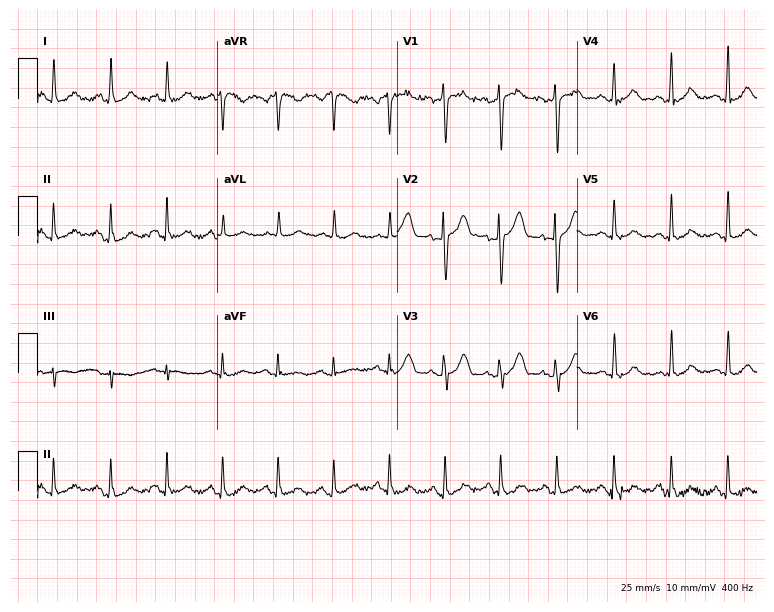
12-lead ECG (7.3-second recording at 400 Hz) from a female, 55 years old. Findings include sinus tachycardia (a sinus rate of 100 beats per minute or more).